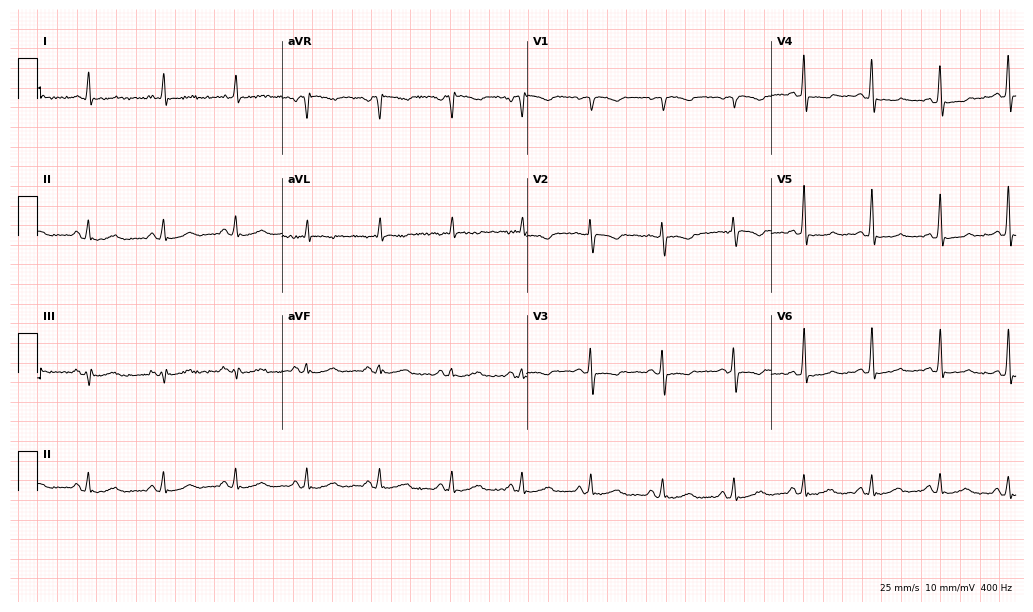
Electrocardiogram (10-second recording at 400 Hz), a woman, 50 years old. Of the six screened findings (first-degree AV block, right bundle branch block, left bundle branch block, sinus bradycardia, atrial fibrillation, sinus tachycardia), none is recorded.